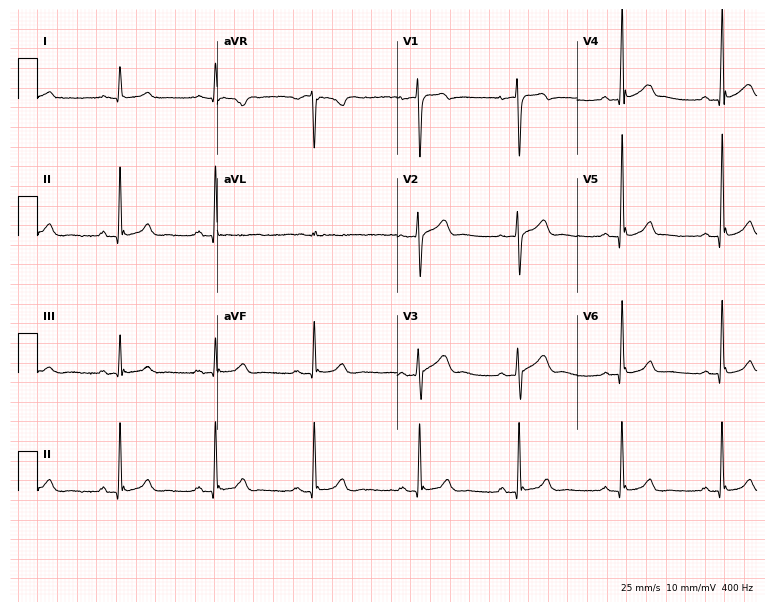
Electrocardiogram, a male patient, 41 years old. Overall reading on record: normal ECG.